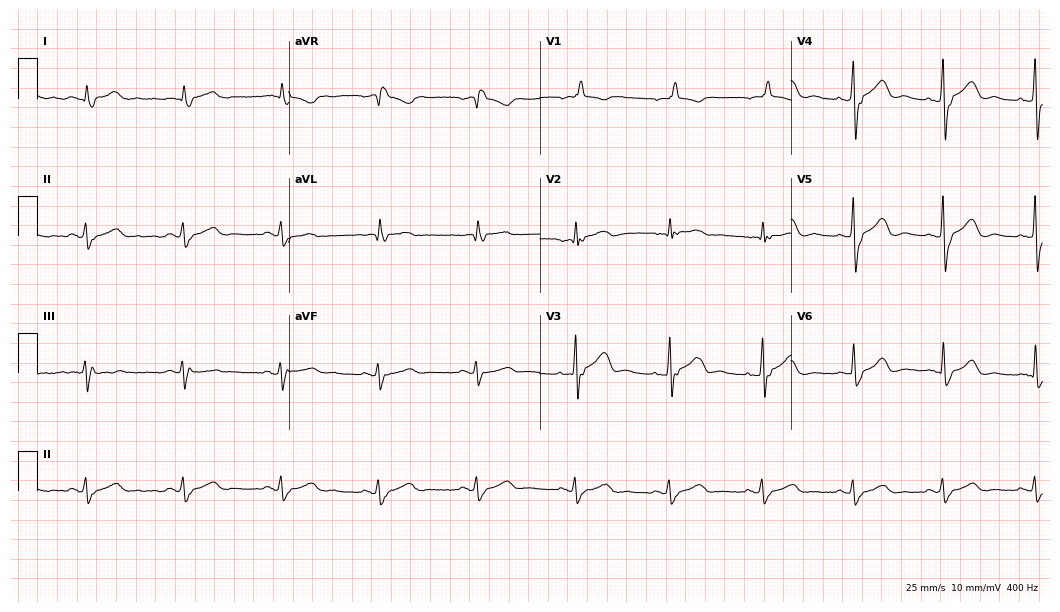
ECG (10.2-second recording at 400 Hz) — an 83-year-old man. Screened for six findings — first-degree AV block, right bundle branch block (RBBB), left bundle branch block (LBBB), sinus bradycardia, atrial fibrillation (AF), sinus tachycardia — none is recorded.